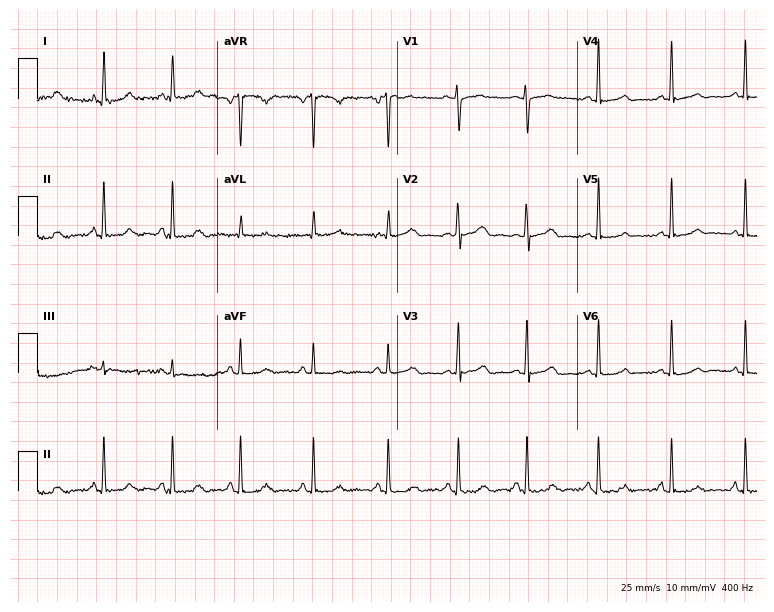
12-lead ECG from a 43-year-old female patient. Recorded interpretation: within normal limits.